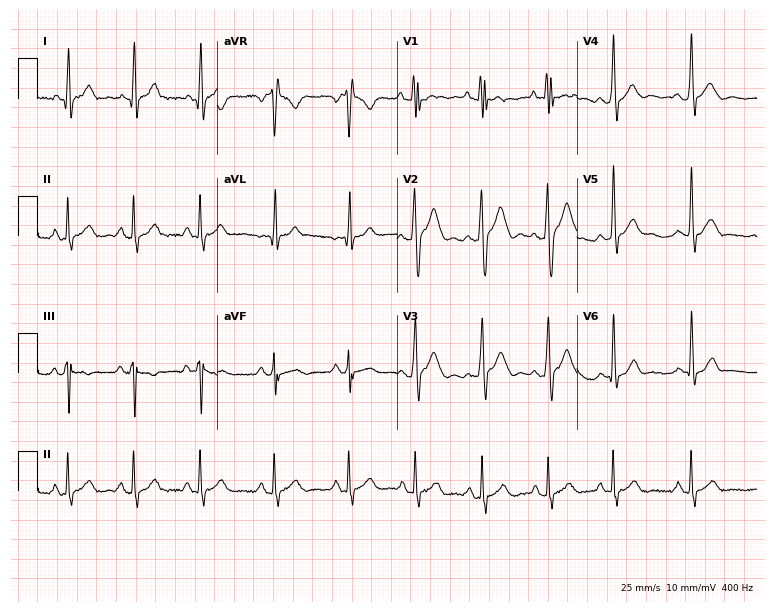
Electrocardiogram, an 18-year-old male. Of the six screened findings (first-degree AV block, right bundle branch block, left bundle branch block, sinus bradycardia, atrial fibrillation, sinus tachycardia), none is recorded. Only these six findings were labelled.